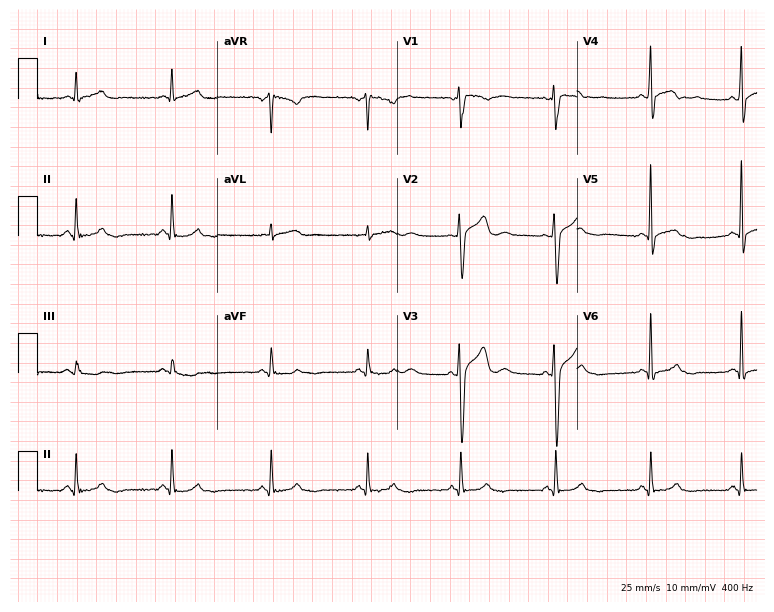
12-lead ECG from a male, 25 years old. Labelled as a normal ECG.